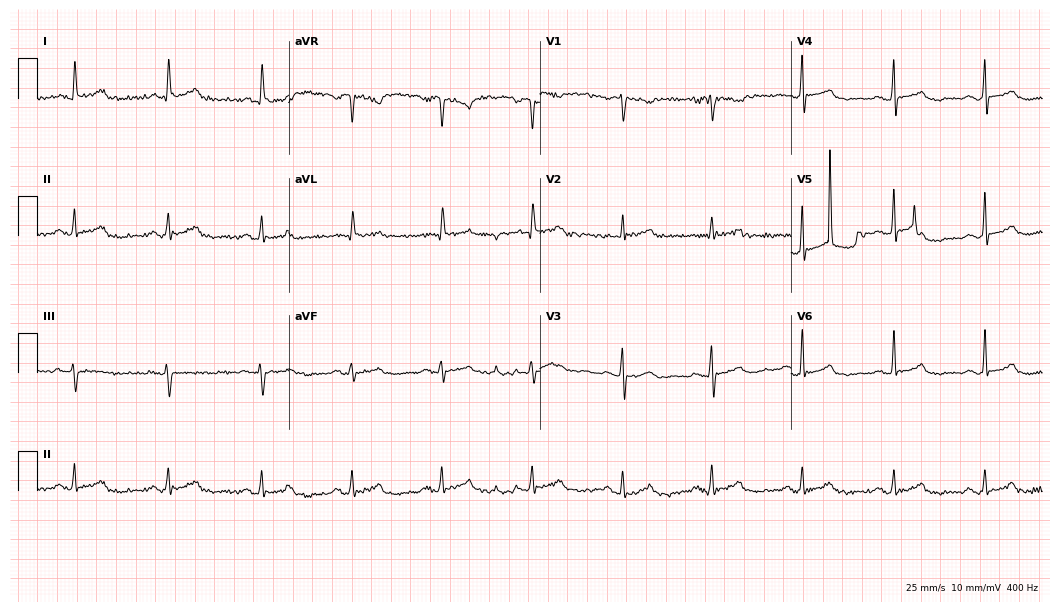
Electrocardiogram (10.2-second recording at 400 Hz), a 65-year-old female. Of the six screened findings (first-degree AV block, right bundle branch block, left bundle branch block, sinus bradycardia, atrial fibrillation, sinus tachycardia), none is recorded. Findings outside these six are not listed.